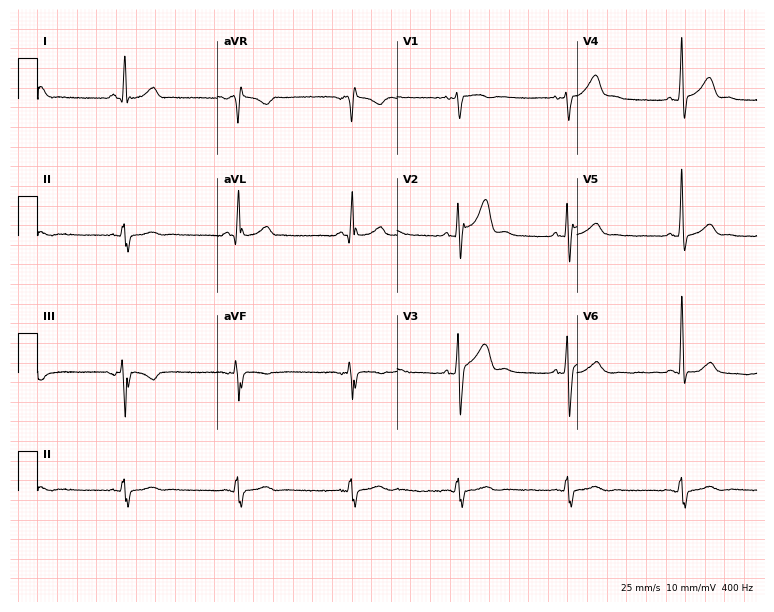
ECG — a male patient, 38 years old. Screened for six findings — first-degree AV block, right bundle branch block, left bundle branch block, sinus bradycardia, atrial fibrillation, sinus tachycardia — none is recorded.